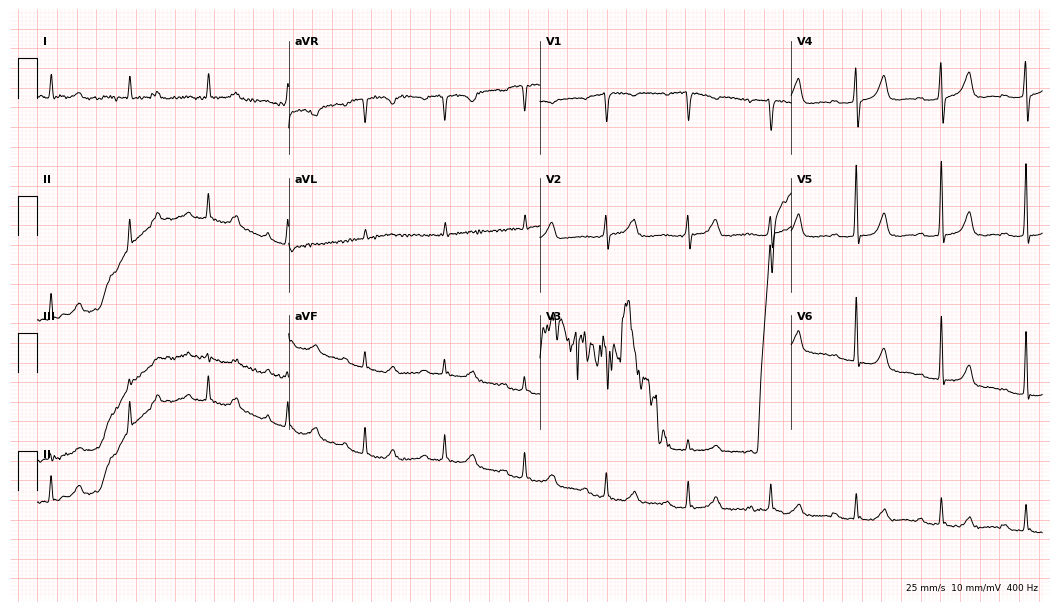
Standard 12-lead ECG recorded from a woman, 78 years old. None of these six findings is recorded: first-degree AV block, right bundle branch block, left bundle branch block, sinus bradycardia, atrial fibrillation, sinus tachycardia. Findings outside these six are not listed.